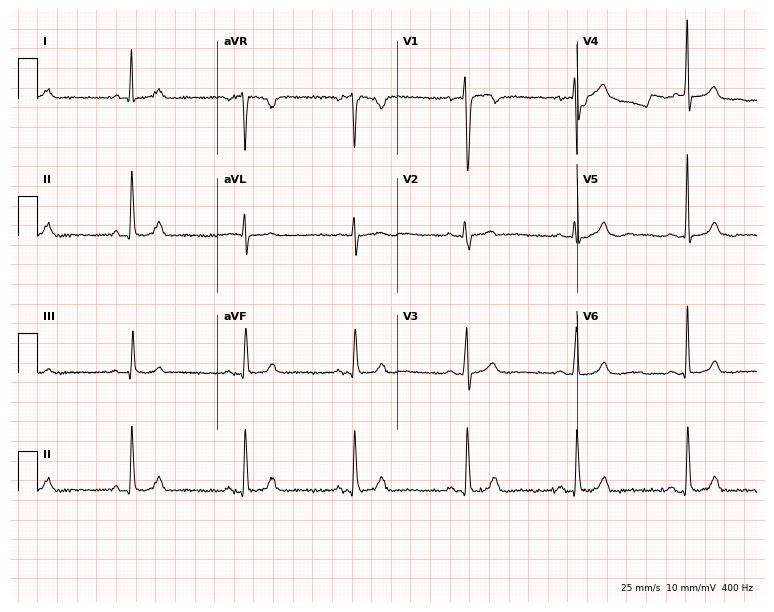
Electrocardiogram, a male, 23 years old. Overall reading on record: normal ECG.